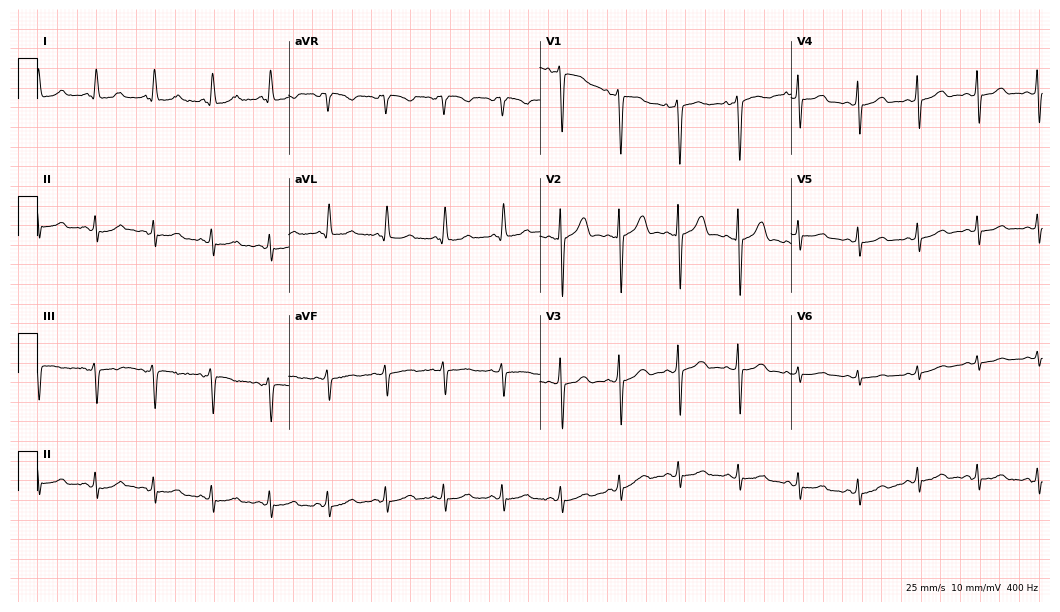
Standard 12-lead ECG recorded from a woman, 57 years old (10.2-second recording at 400 Hz). None of these six findings is recorded: first-degree AV block, right bundle branch block, left bundle branch block, sinus bradycardia, atrial fibrillation, sinus tachycardia. Findings outside these six are not listed.